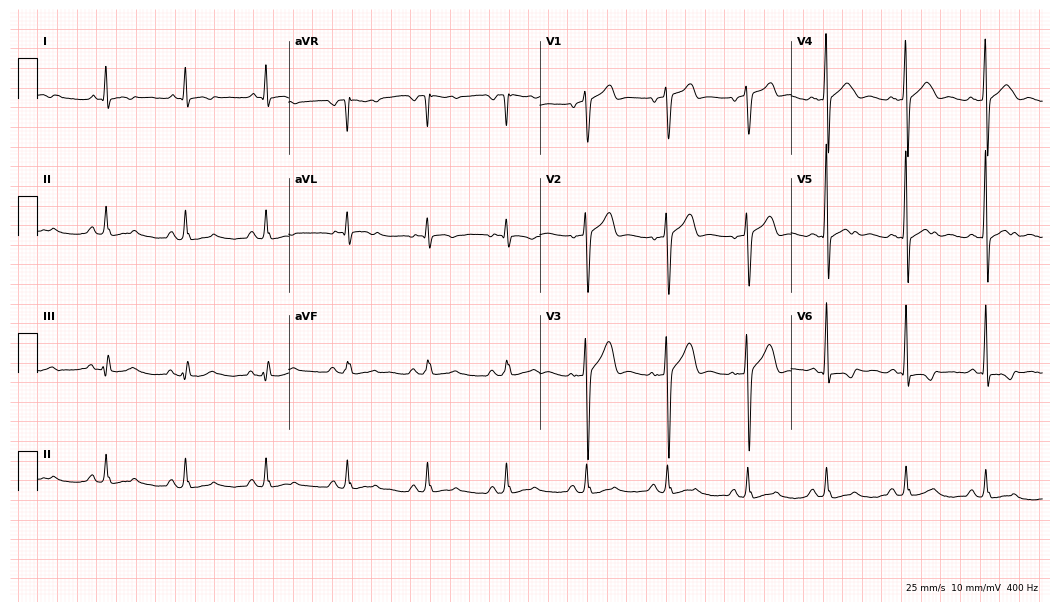
Electrocardiogram, a male patient, 57 years old. Of the six screened findings (first-degree AV block, right bundle branch block, left bundle branch block, sinus bradycardia, atrial fibrillation, sinus tachycardia), none is recorded. Other findings, if any, are not listed.